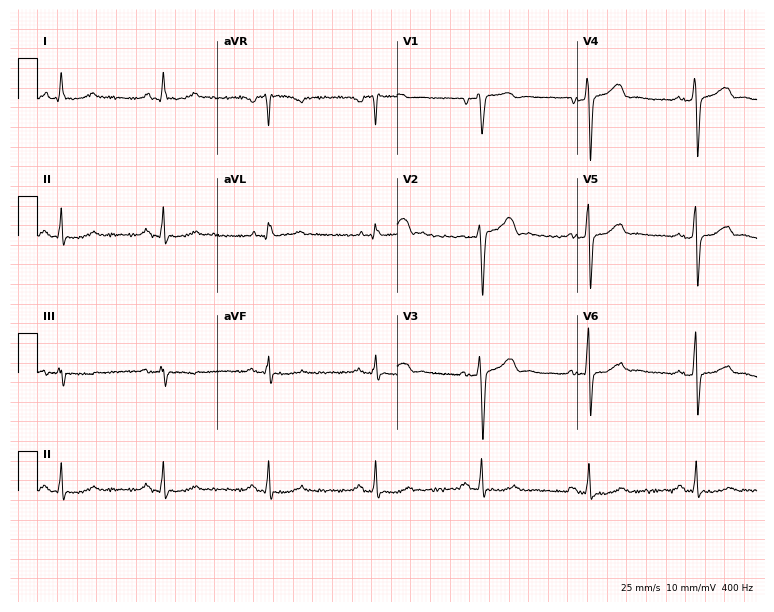
Resting 12-lead electrocardiogram. Patient: a 47-year-old male. None of these six findings is recorded: first-degree AV block, right bundle branch block, left bundle branch block, sinus bradycardia, atrial fibrillation, sinus tachycardia. Findings outside these six are not listed.